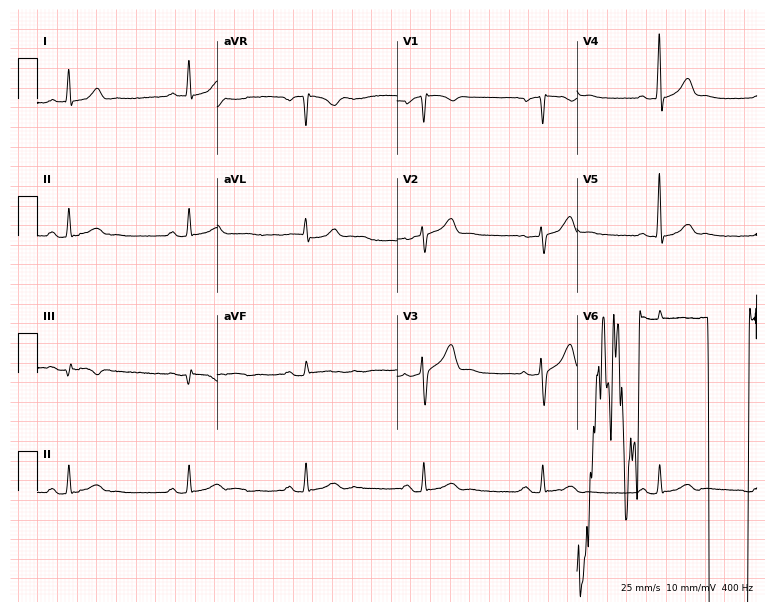
12-lead ECG from a male, 51 years old. Screened for six findings — first-degree AV block, right bundle branch block, left bundle branch block, sinus bradycardia, atrial fibrillation, sinus tachycardia — none is recorded. Findings outside these six are not listed.